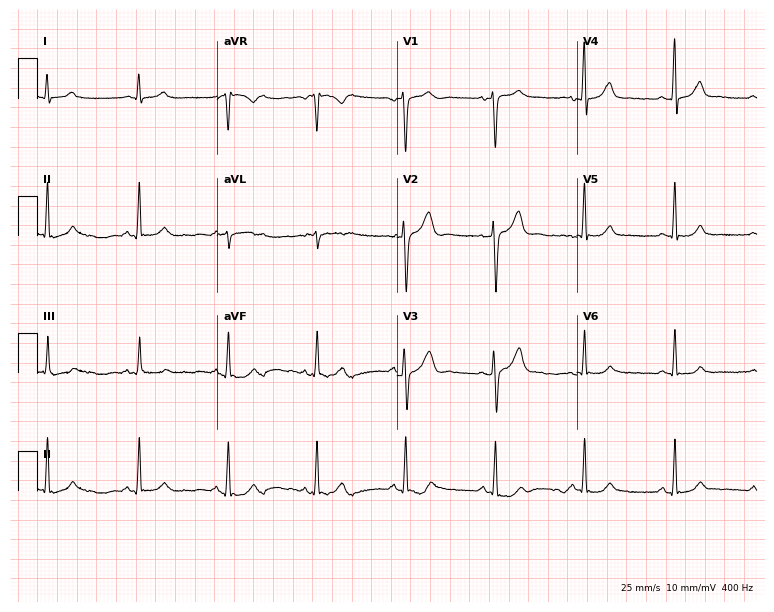
ECG (7.3-second recording at 400 Hz) — a male, 41 years old. Labelled as a normal ECG.